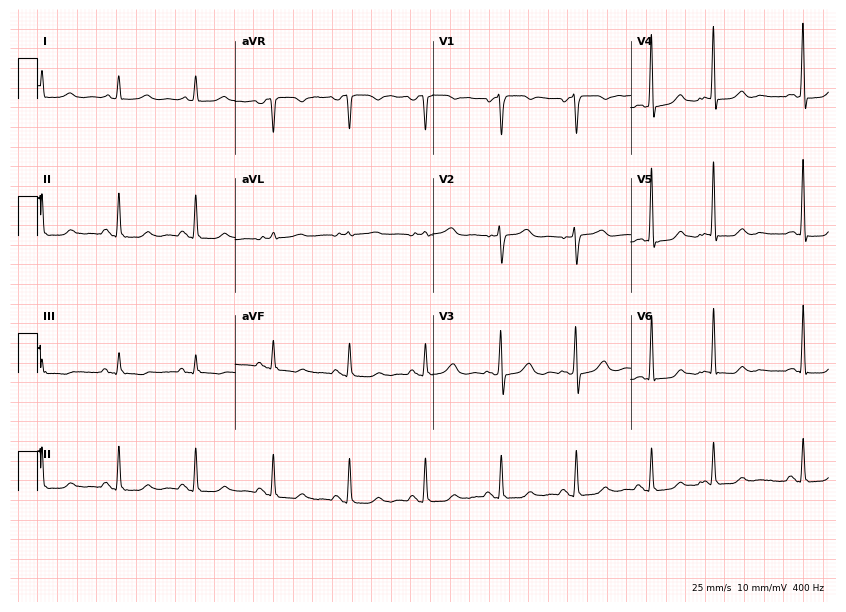
12-lead ECG from a 78-year-old female patient. Screened for six findings — first-degree AV block, right bundle branch block (RBBB), left bundle branch block (LBBB), sinus bradycardia, atrial fibrillation (AF), sinus tachycardia — none is recorded. Only these six findings were labelled.